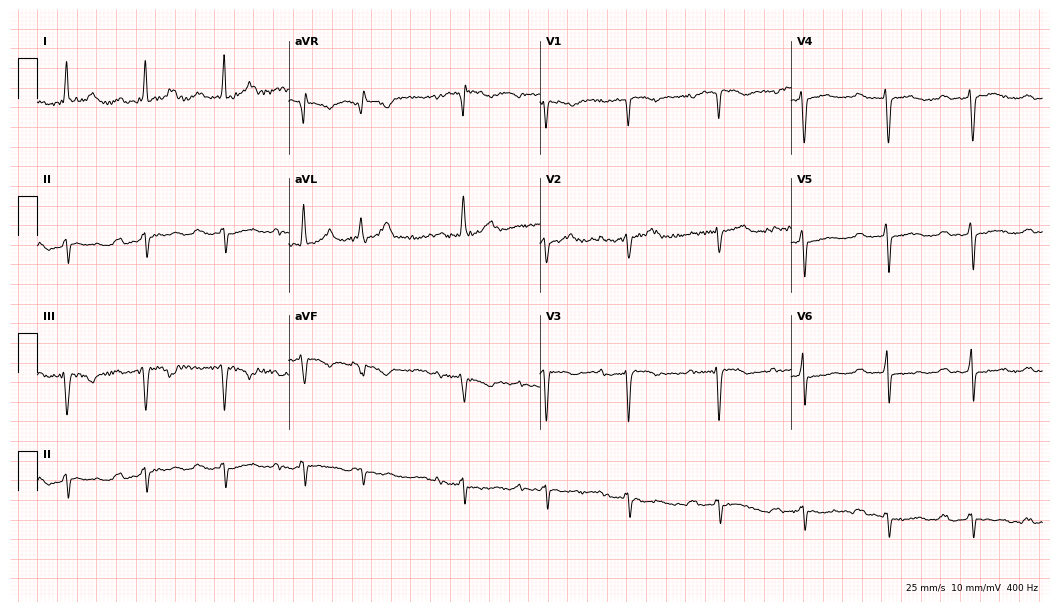
ECG — a male, 78 years old. Findings include first-degree AV block.